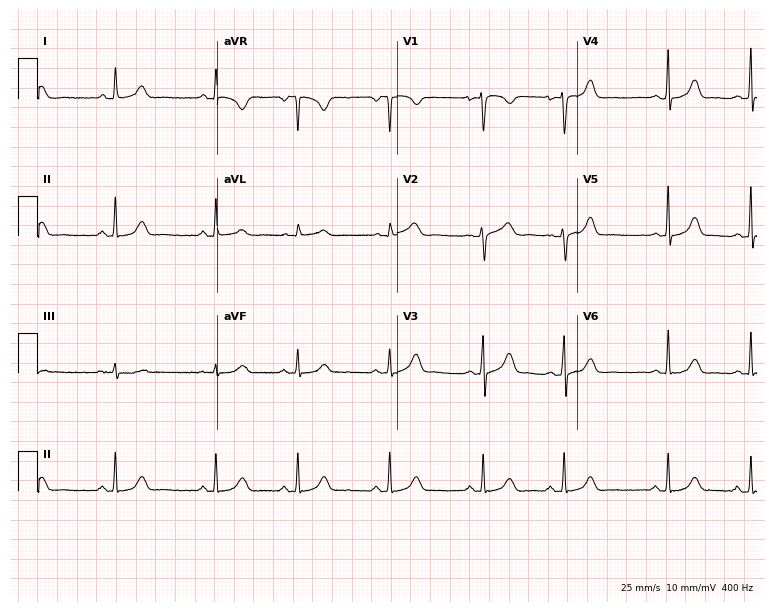
Standard 12-lead ECG recorded from a woman, 25 years old (7.3-second recording at 400 Hz). None of these six findings is recorded: first-degree AV block, right bundle branch block, left bundle branch block, sinus bradycardia, atrial fibrillation, sinus tachycardia. Only these six findings were labelled.